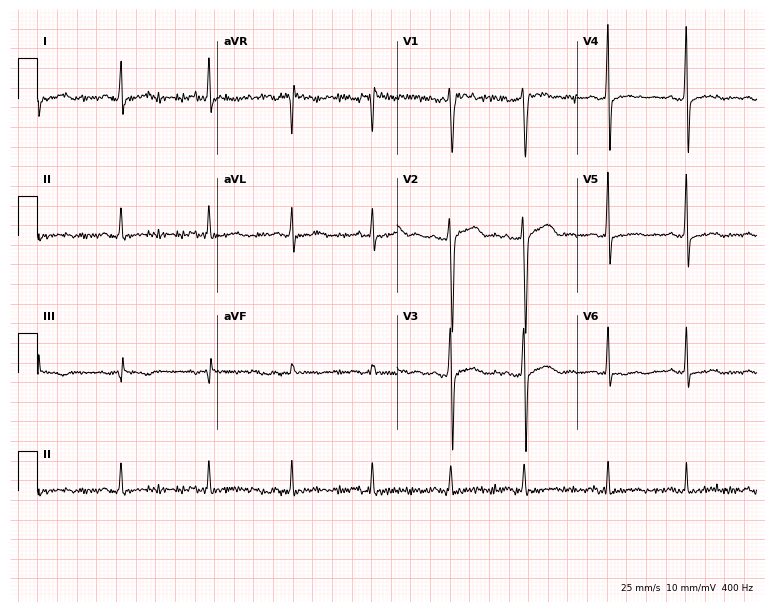
Electrocardiogram (7.3-second recording at 400 Hz), a male patient, 43 years old. Of the six screened findings (first-degree AV block, right bundle branch block, left bundle branch block, sinus bradycardia, atrial fibrillation, sinus tachycardia), none is recorded.